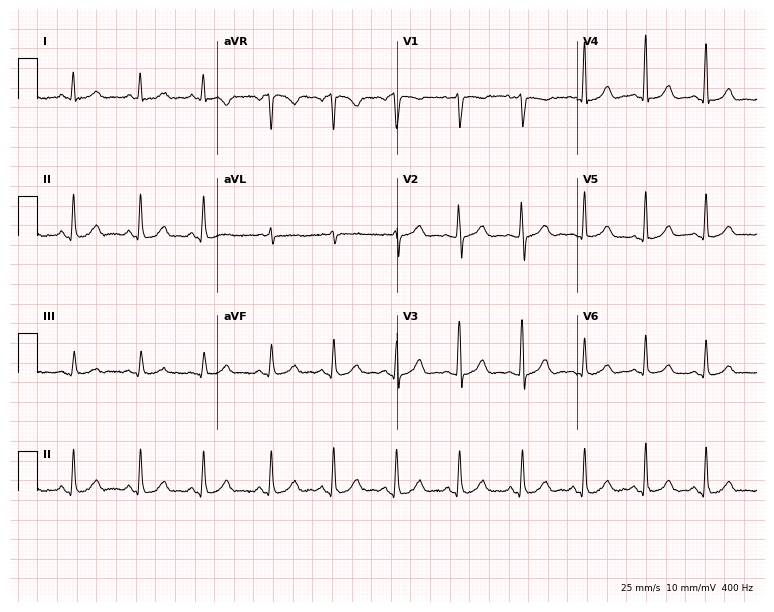
Standard 12-lead ECG recorded from a female patient, 65 years old. Read as a normal ECG.